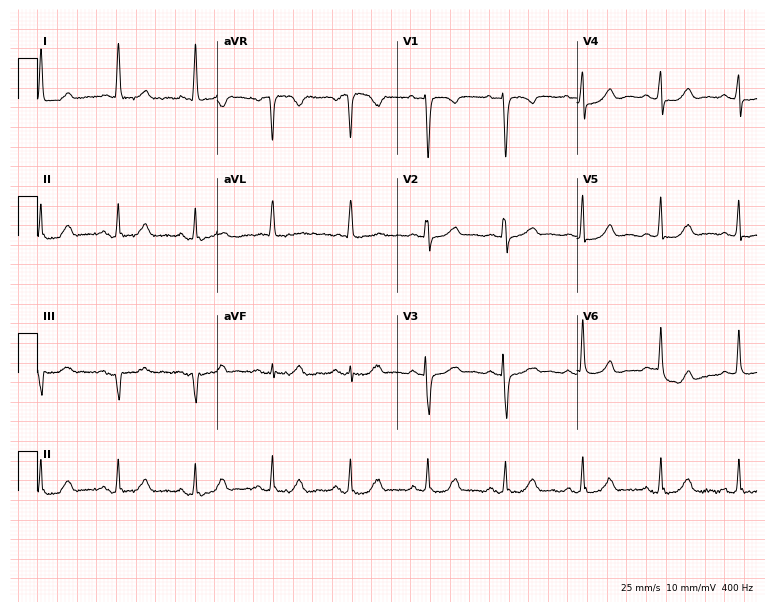
12-lead ECG (7.3-second recording at 400 Hz) from a 50-year-old female patient. Labelled as a normal ECG.